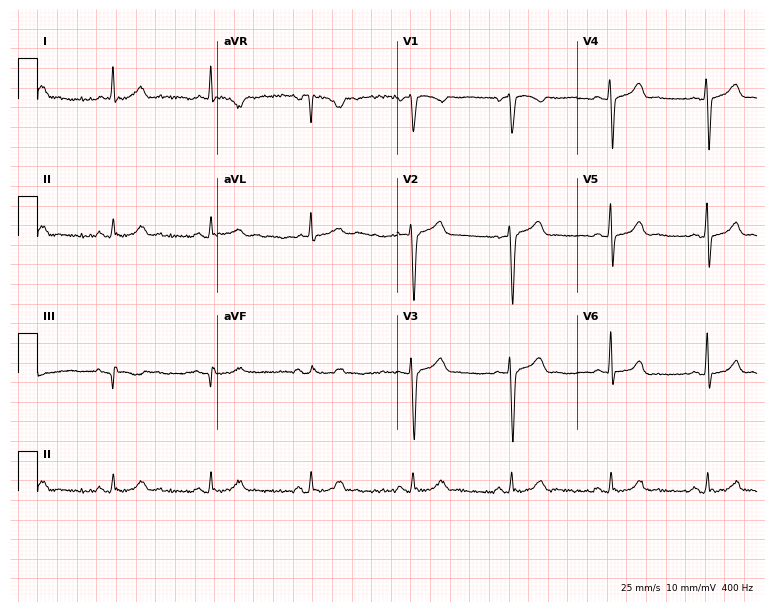
Standard 12-lead ECG recorded from a male, 50 years old. None of these six findings is recorded: first-degree AV block, right bundle branch block, left bundle branch block, sinus bradycardia, atrial fibrillation, sinus tachycardia. Findings outside these six are not listed.